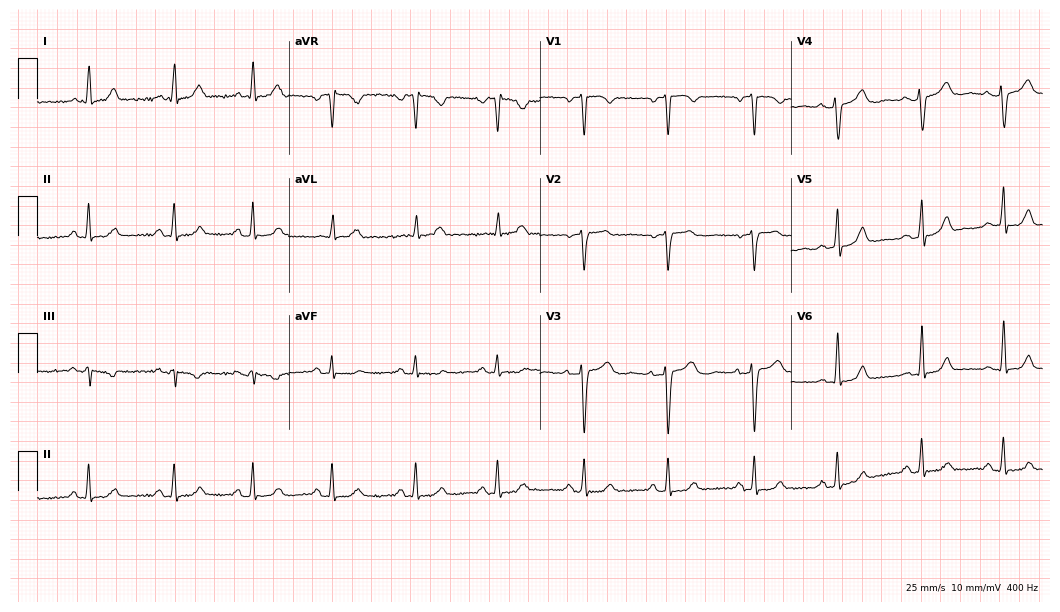
ECG (10.2-second recording at 400 Hz) — a woman, 40 years old. Screened for six findings — first-degree AV block, right bundle branch block, left bundle branch block, sinus bradycardia, atrial fibrillation, sinus tachycardia — none is recorded. Findings outside these six are not listed.